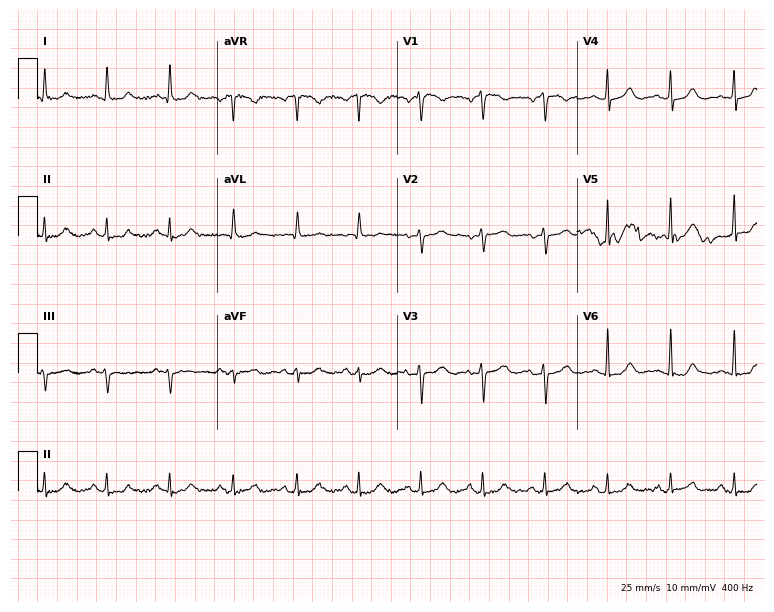
12-lead ECG from a female patient, 72 years old. Recorded interpretation: within normal limits.